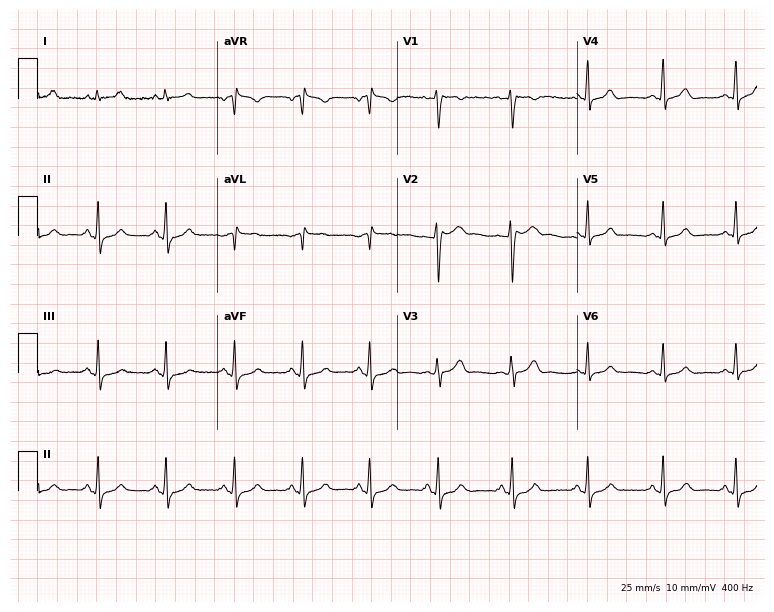
Standard 12-lead ECG recorded from a male, 31 years old. Read as a normal ECG.